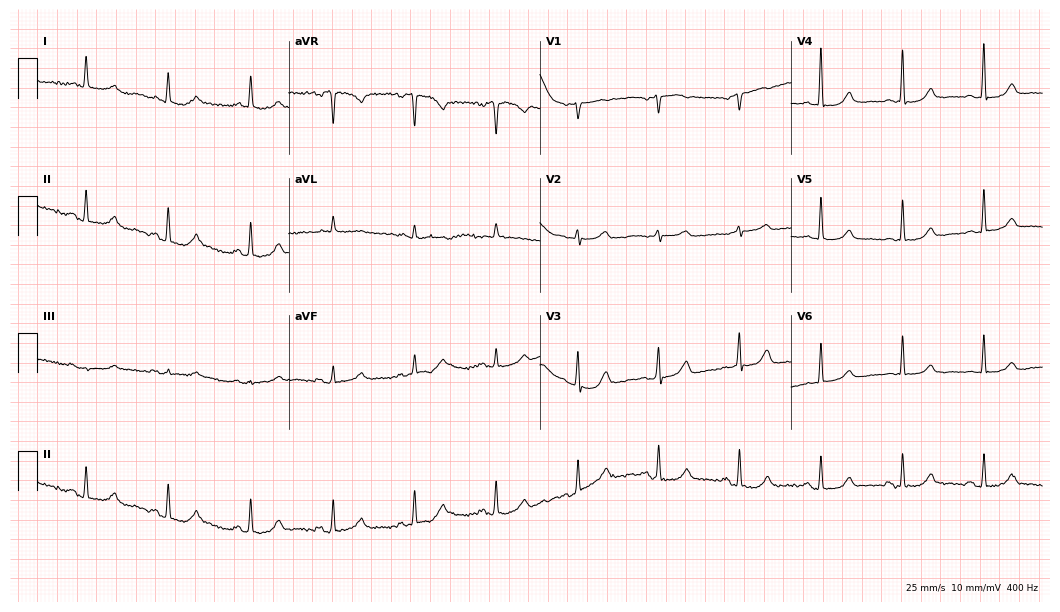
ECG — a female patient, 82 years old. Screened for six findings — first-degree AV block, right bundle branch block, left bundle branch block, sinus bradycardia, atrial fibrillation, sinus tachycardia — none is recorded.